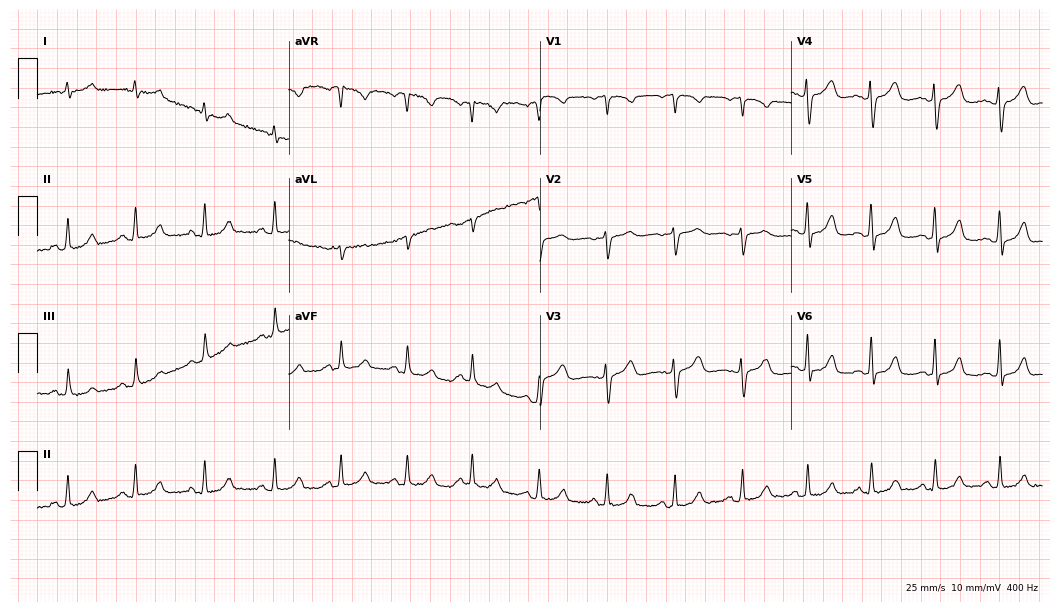
12-lead ECG from a woman, 50 years old. Labelled as a normal ECG.